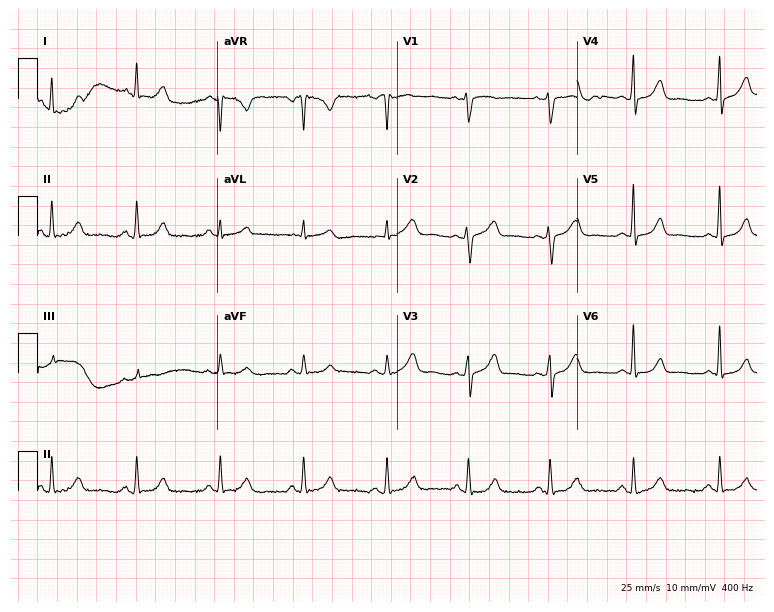
ECG (7.3-second recording at 400 Hz) — a 52-year-old female patient. Labelled as a normal ECG.